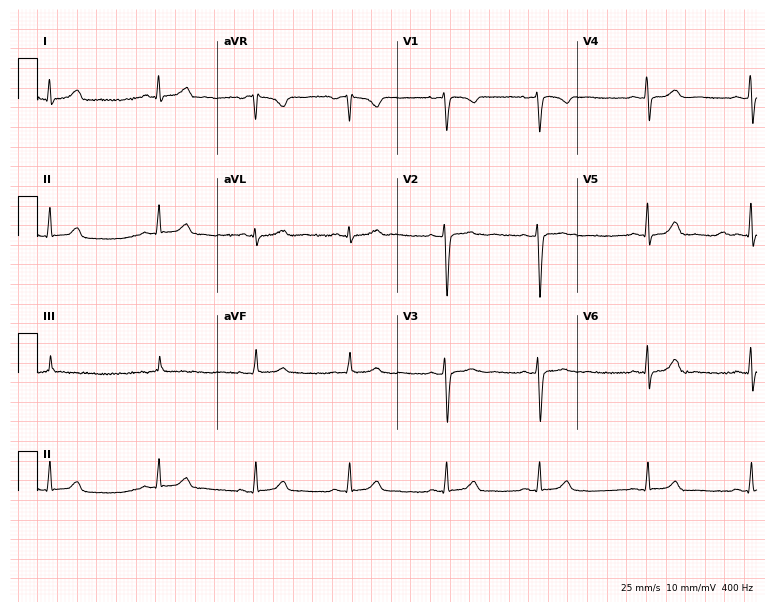
12-lead ECG from a 32-year-old woman. Screened for six findings — first-degree AV block, right bundle branch block, left bundle branch block, sinus bradycardia, atrial fibrillation, sinus tachycardia — none is recorded. Other findings, if any, are not listed.